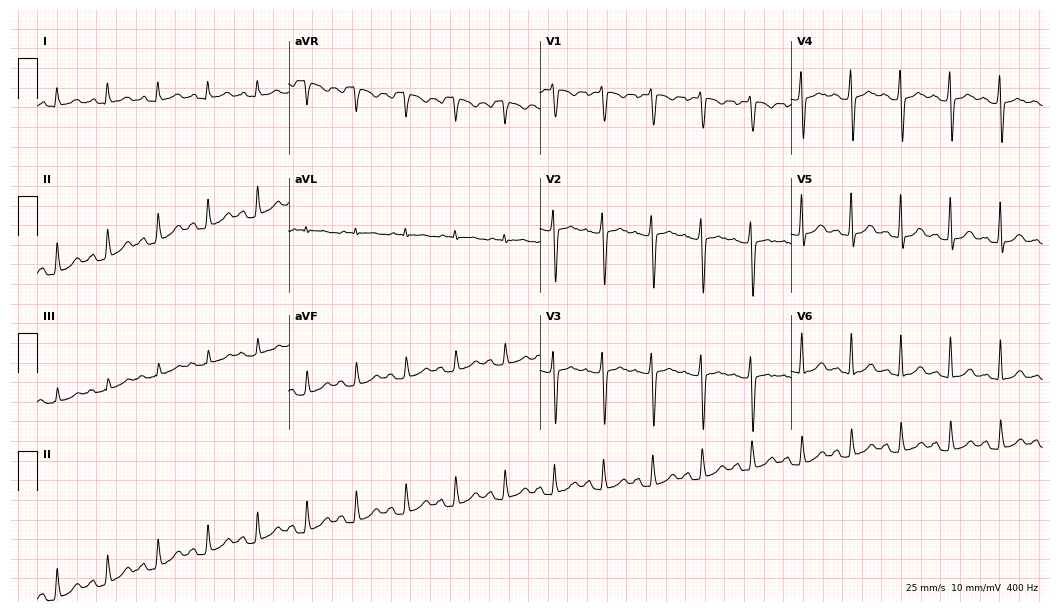
ECG — a 27-year-old male. Findings include sinus tachycardia (a sinus rate of 100 beats per minute or more).